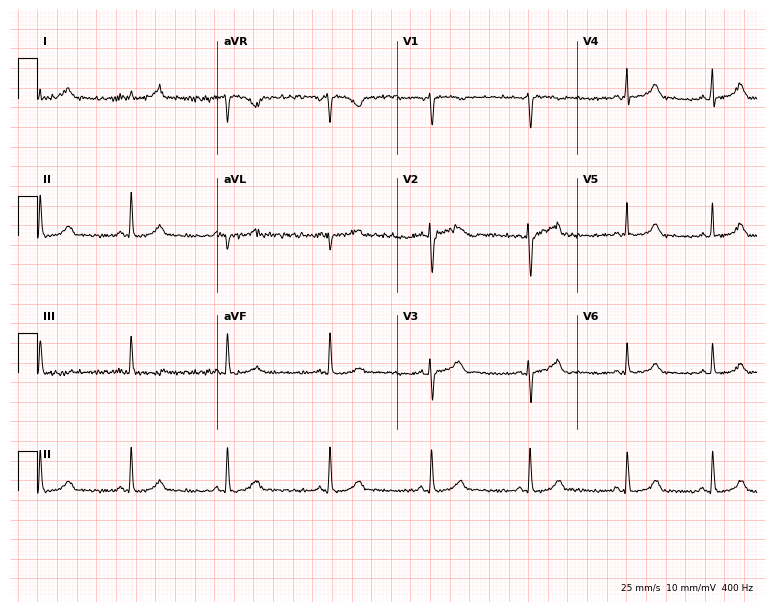
Standard 12-lead ECG recorded from a 49-year-old woman (7.3-second recording at 400 Hz). None of these six findings is recorded: first-degree AV block, right bundle branch block, left bundle branch block, sinus bradycardia, atrial fibrillation, sinus tachycardia.